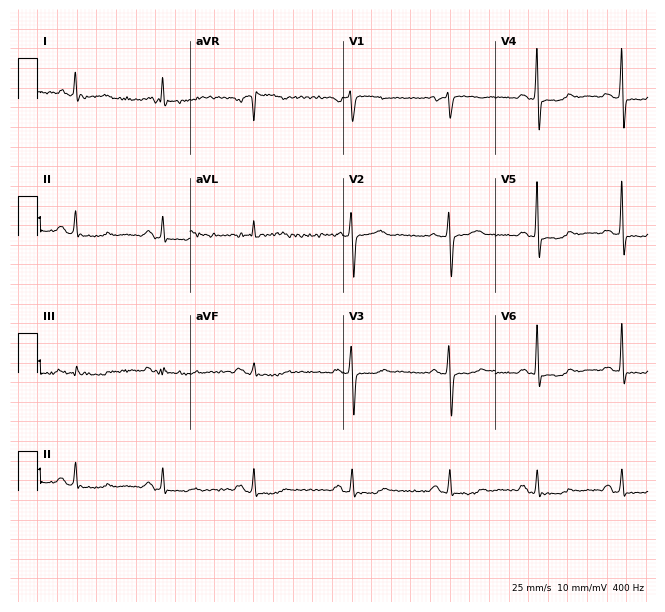
Resting 12-lead electrocardiogram. Patient: a female, 57 years old. None of these six findings is recorded: first-degree AV block, right bundle branch block, left bundle branch block, sinus bradycardia, atrial fibrillation, sinus tachycardia.